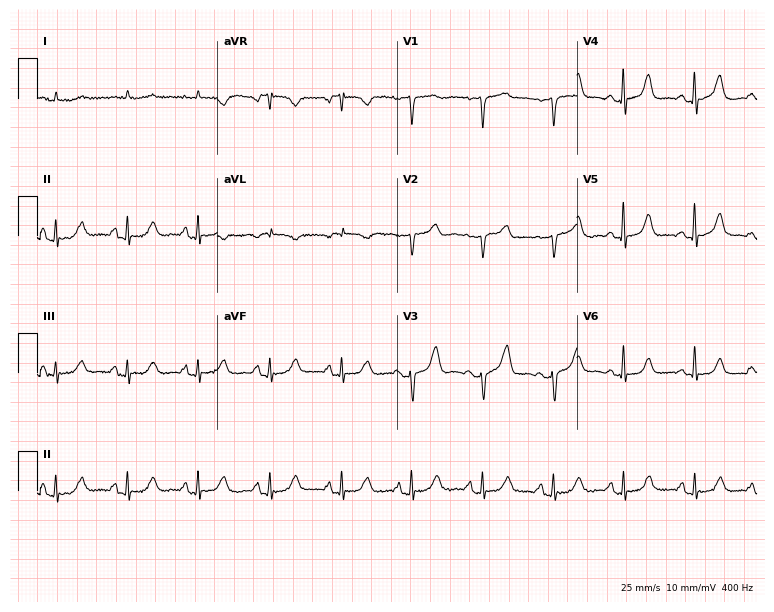
Standard 12-lead ECG recorded from an 81-year-old female. None of these six findings is recorded: first-degree AV block, right bundle branch block (RBBB), left bundle branch block (LBBB), sinus bradycardia, atrial fibrillation (AF), sinus tachycardia. Only these six findings were labelled.